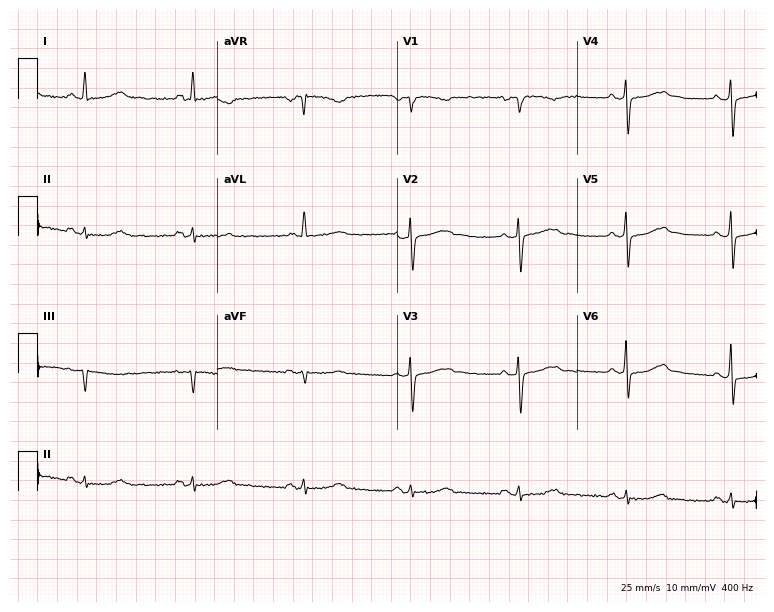
Resting 12-lead electrocardiogram. Patient: a female, 63 years old. None of these six findings is recorded: first-degree AV block, right bundle branch block, left bundle branch block, sinus bradycardia, atrial fibrillation, sinus tachycardia. Findings outside these six are not listed.